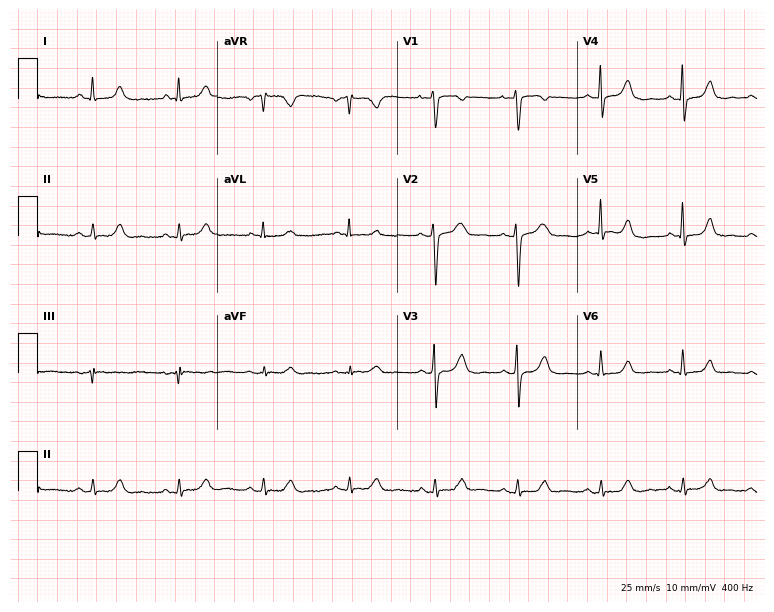
12-lead ECG from a female, 49 years old. Recorded interpretation: within normal limits.